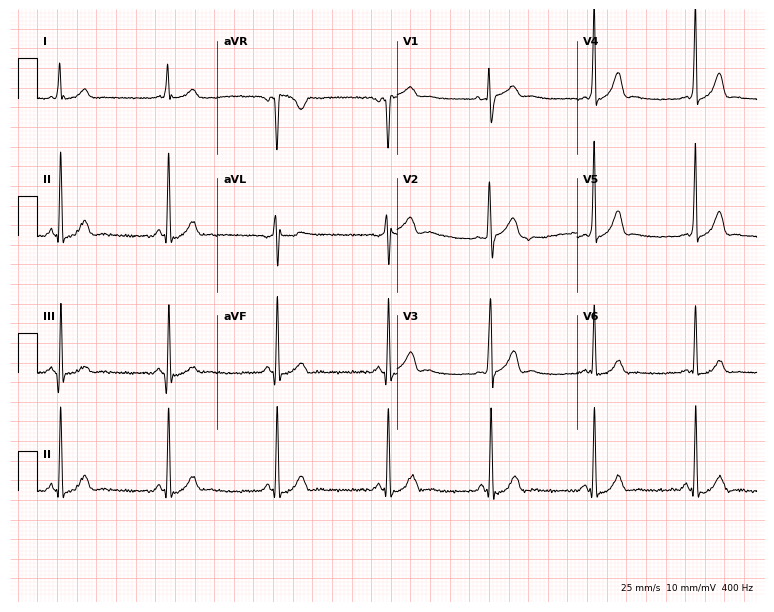
12-lead ECG from a 35-year-old male. No first-degree AV block, right bundle branch block, left bundle branch block, sinus bradycardia, atrial fibrillation or sinus tachycardia recorded for this tracing. Only these six findings were labelled.